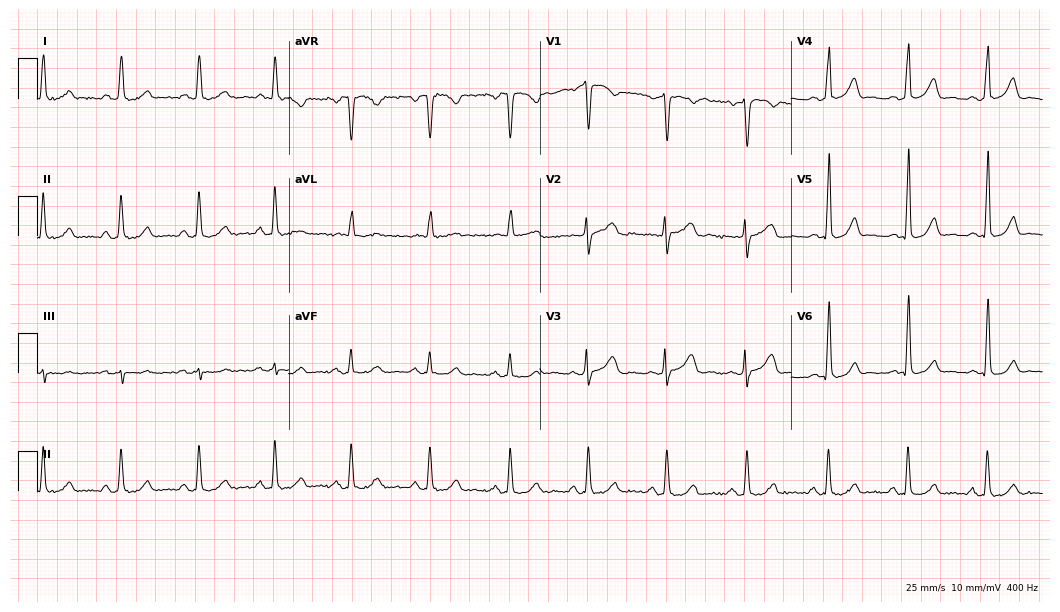
Resting 12-lead electrocardiogram. Patient: a woman, 68 years old. Read as a normal ECG.